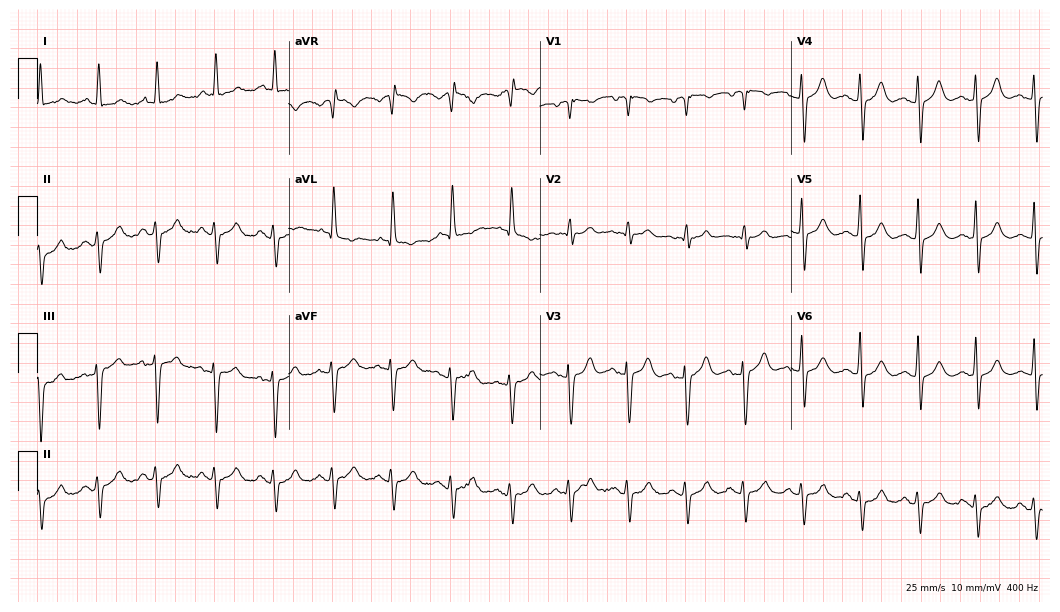
12-lead ECG from a female, 85 years old (10.2-second recording at 400 Hz). No first-degree AV block, right bundle branch block, left bundle branch block, sinus bradycardia, atrial fibrillation or sinus tachycardia recorded for this tracing. Only these six findings were labelled.